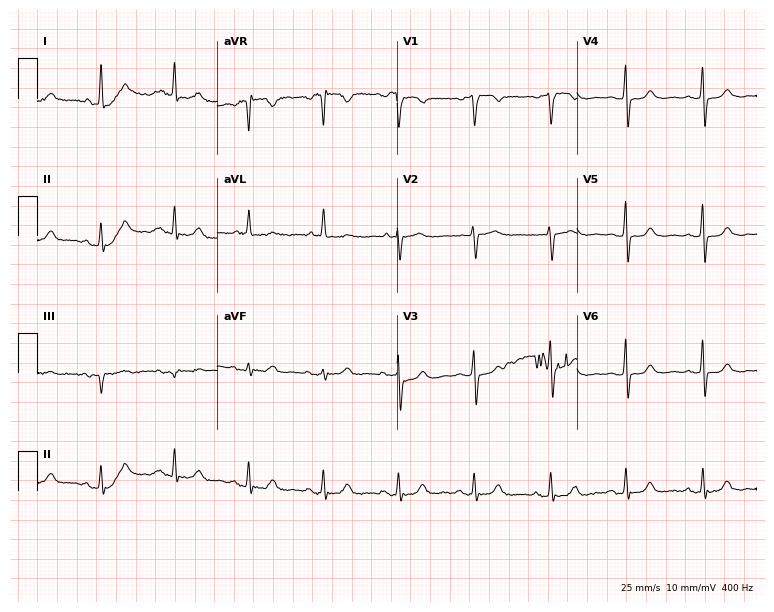
Resting 12-lead electrocardiogram (7.3-second recording at 400 Hz). Patient: a female, 62 years old. None of these six findings is recorded: first-degree AV block, right bundle branch block, left bundle branch block, sinus bradycardia, atrial fibrillation, sinus tachycardia.